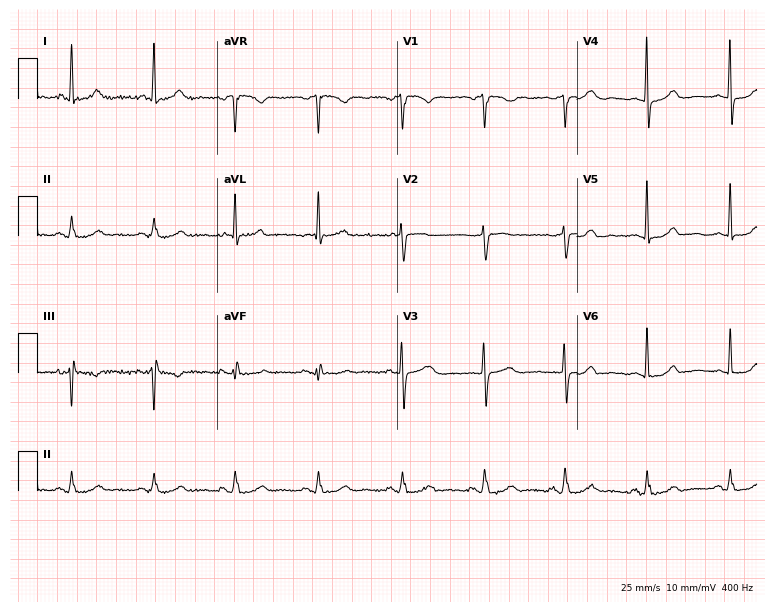
Electrocardiogram, a 78-year-old woman. Overall reading on record: normal ECG.